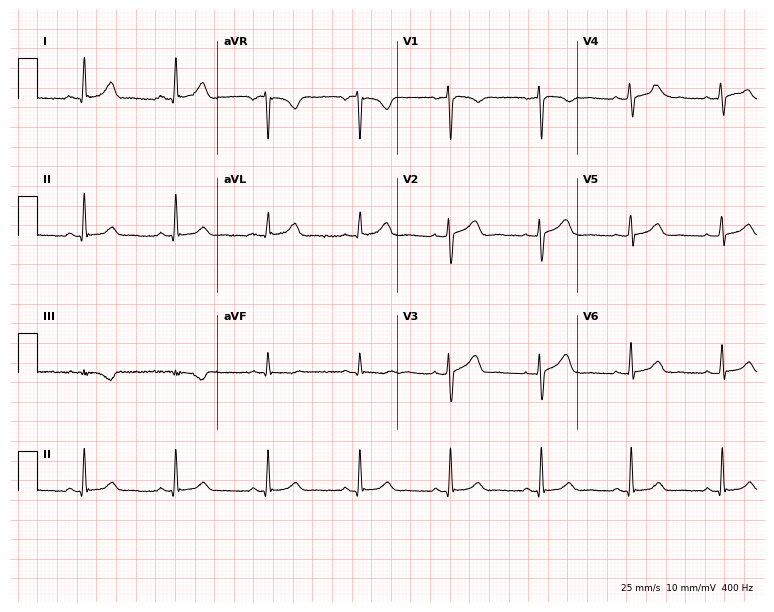
ECG — a 50-year-old female patient. Labelled as a normal ECG.